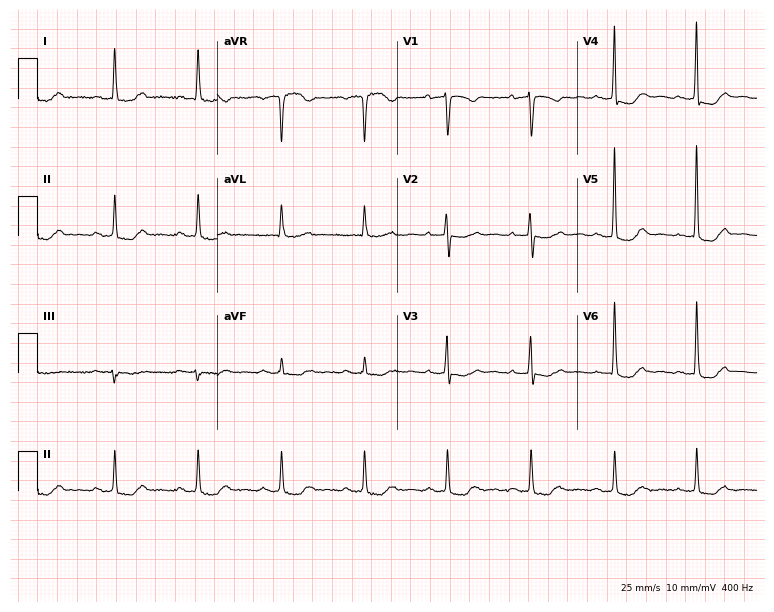
Resting 12-lead electrocardiogram (7.3-second recording at 400 Hz). Patient: a female, 79 years old. None of these six findings is recorded: first-degree AV block, right bundle branch block, left bundle branch block, sinus bradycardia, atrial fibrillation, sinus tachycardia. Only these six findings were labelled.